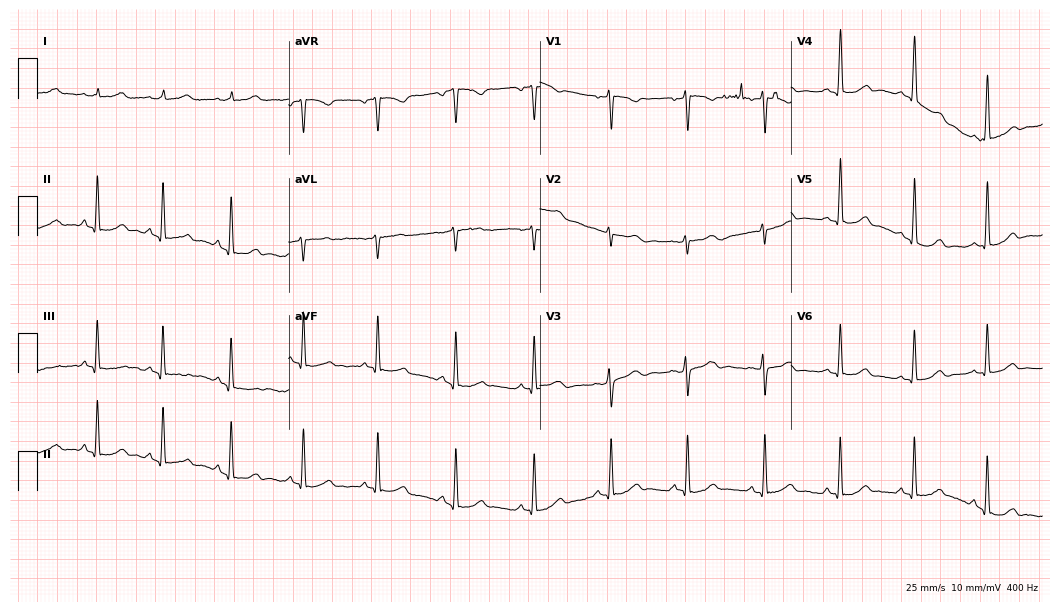
Resting 12-lead electrocardiogram (10.2-second recording at 400 Hz). Patient: a 27-year-old female. Read as a normal ECG.